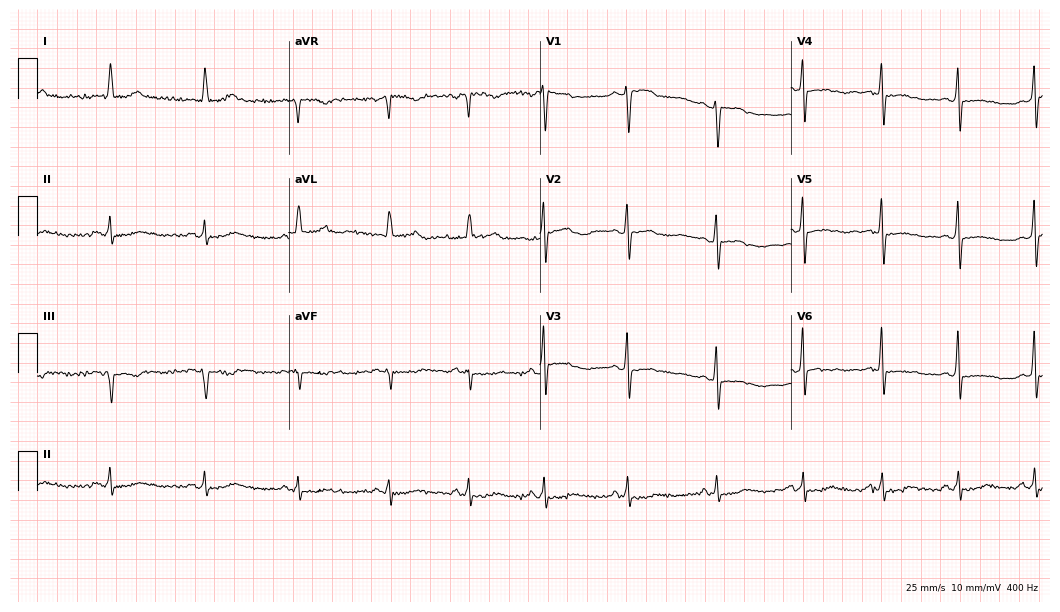
Resting 12-lead electrocardiogram. Patient: a 67-year-old female. Read as a normal ECG.